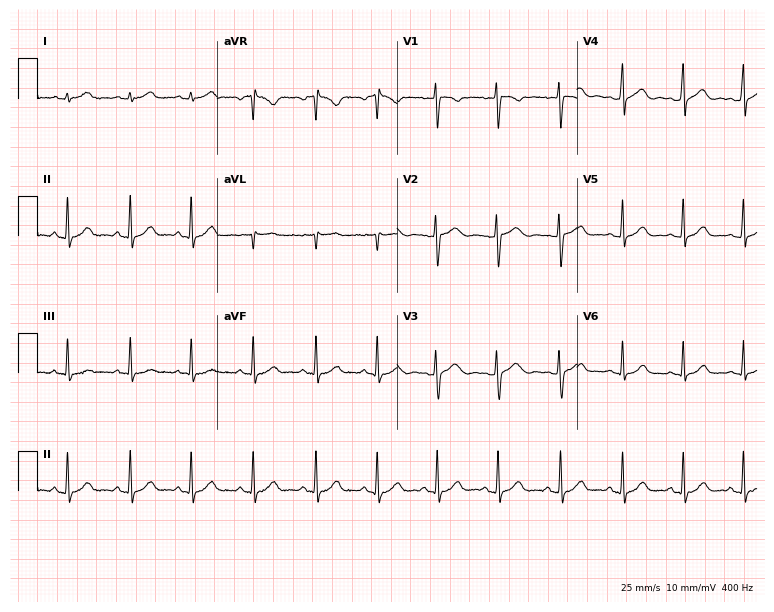
ECG (7.3-second recording at 400 Hz) — a 24-year-old woman. Screened for six findings — first-degree AV block, right bundle branch block, left bundle branch block, sinus bradycardia, atrial fibrillation, sinus tachycardia — none is recorded.